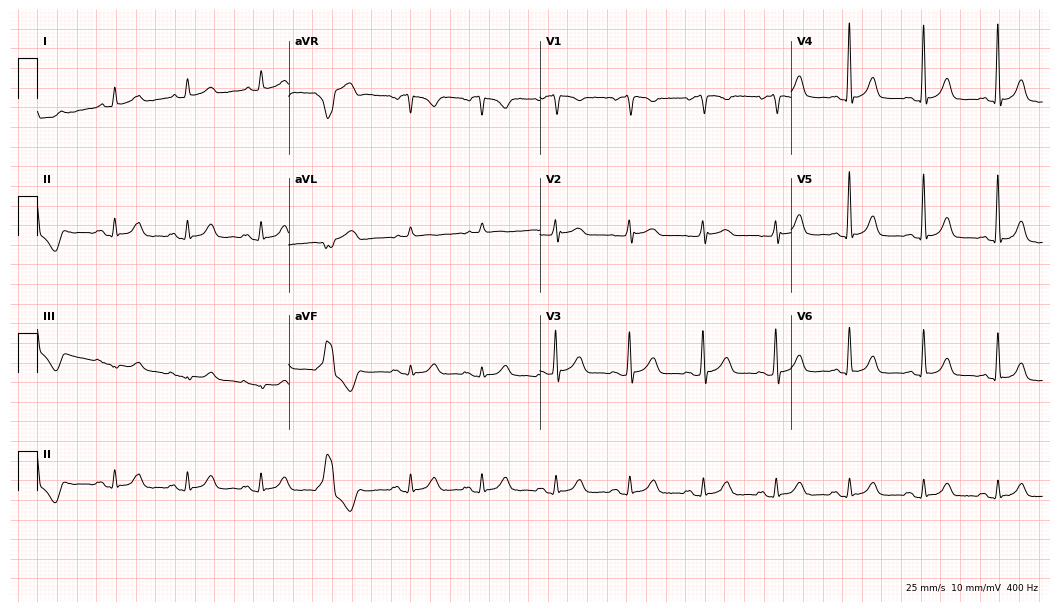
Resting 12-lead electrocardiogram. Patient: an 81-year-old female. None of these six findings is recorded: first-degree AV block, right bundle branch block, left bundle branch block, sinus bradycardia, atrial fibrillation, sinus tachycardia. Only these six findings were labelled.